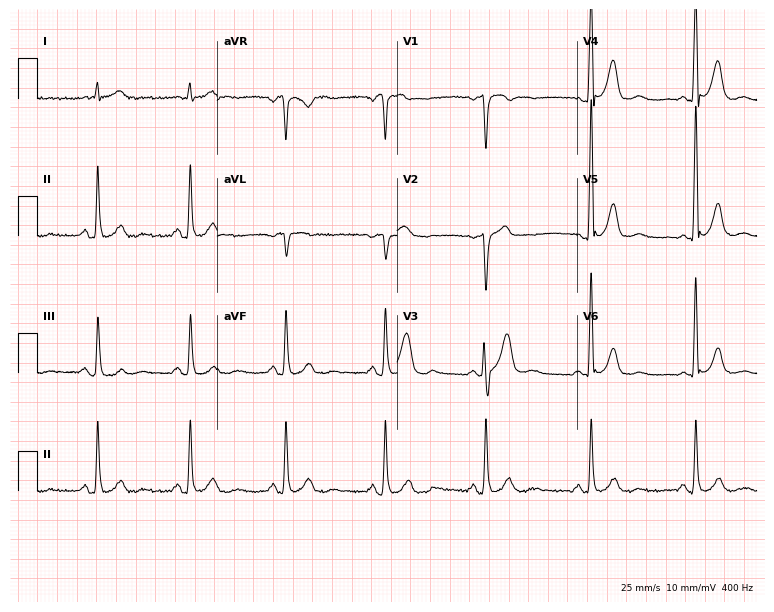
Standard 12-lead ECG recorded from a 60-year-old male. Read as a normal ECG.